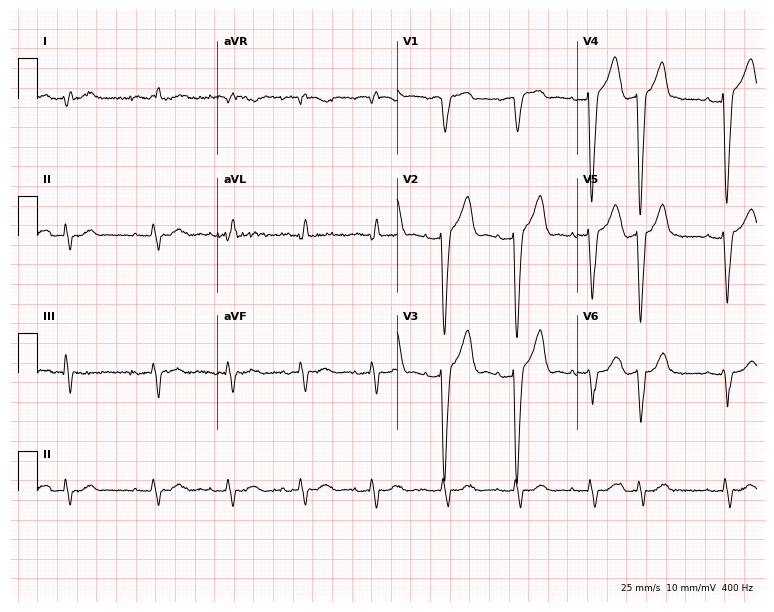
12-lead ECG (7.3-second recording at 400 Hz) from a female, 85 years old. Findings include left bundle branch block.